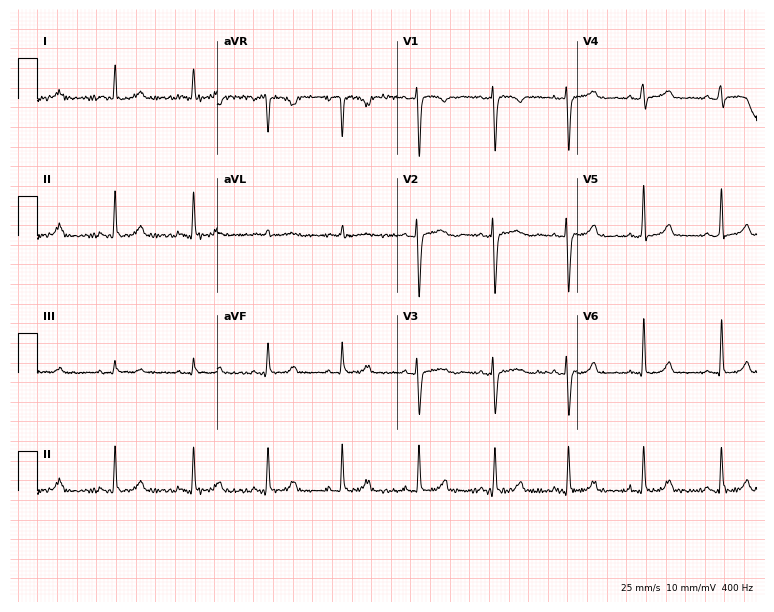
ECG (7.3-second recording at 400 Hz) — a 48-year-old female patient. Labelled as a normal ECG.